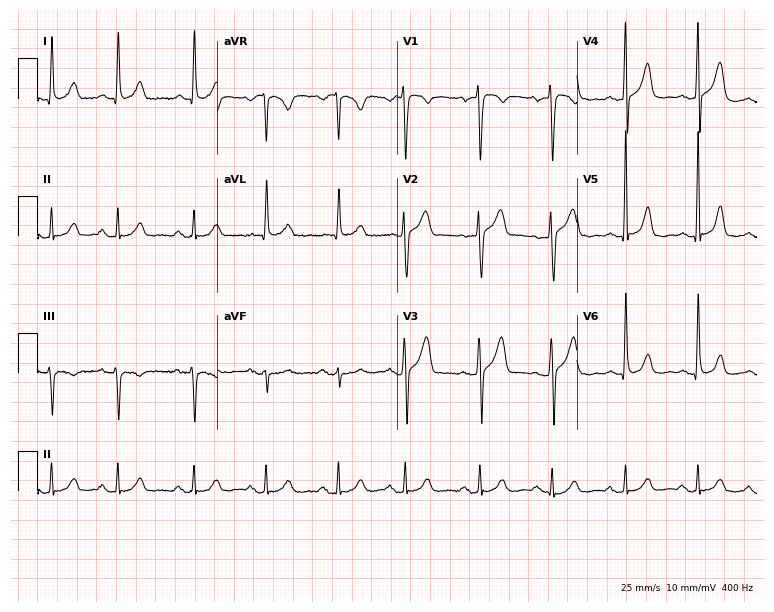
Electrocardiogram, a male patient, 27 years old. Of the six screened findings (first-degree AV block, right bundle branch block (RBBB), left bundle branch block (LBBB), sinus bradycardia, atrial fibrillation (AF), sinus tachycardia), none is recorded.